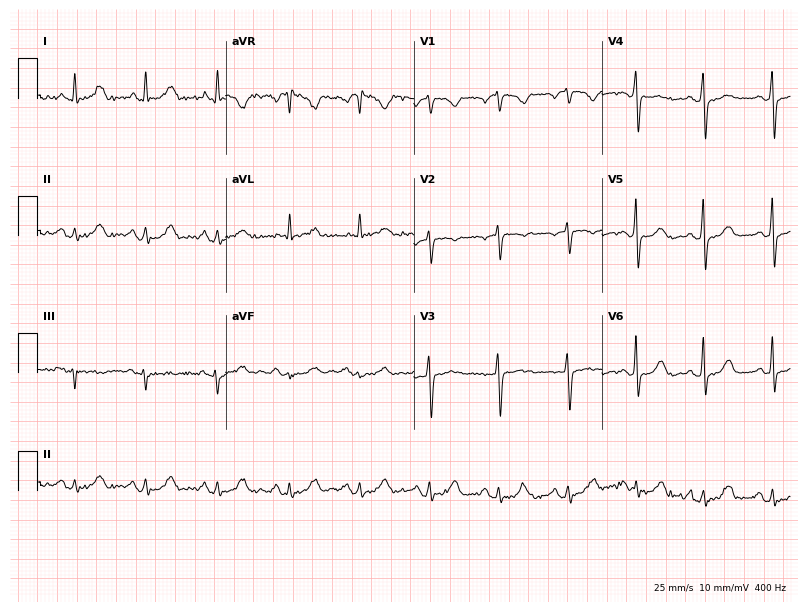
Standard 12-lead ECG recorded from a 55-year-old female patient (7.7-second recording at 400 Hz). None of these six findings is recorded: first-degree AV block, right bundle branch block, left bundle branch block, sinus bradycardia, atrial fibrillation, sinus tachycardia. Other findings, if any, are not listed.